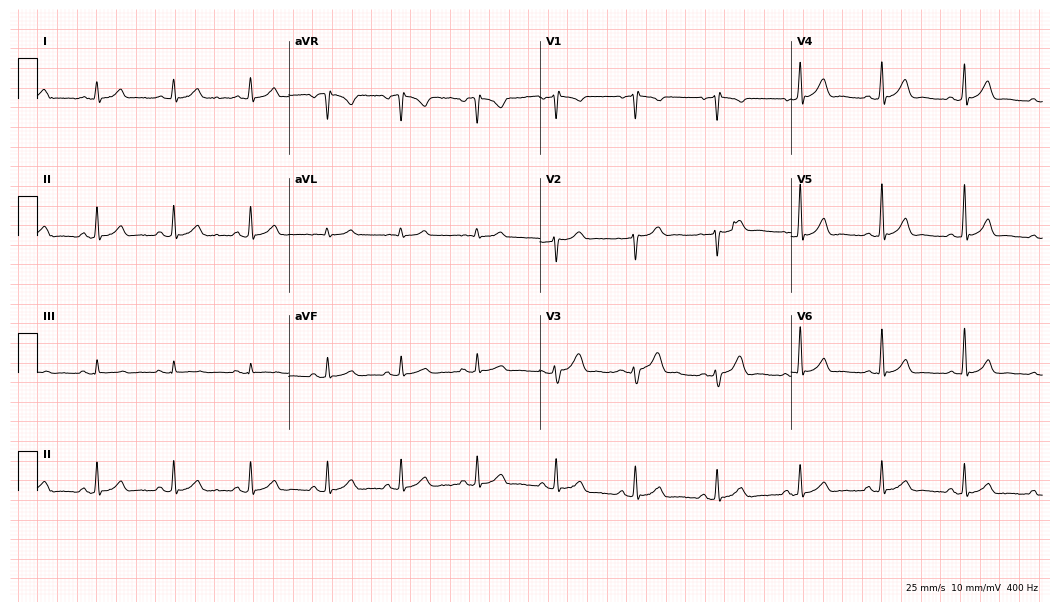
12-lead ECG from a 52-year-old female. Labelled as a normal ECG.